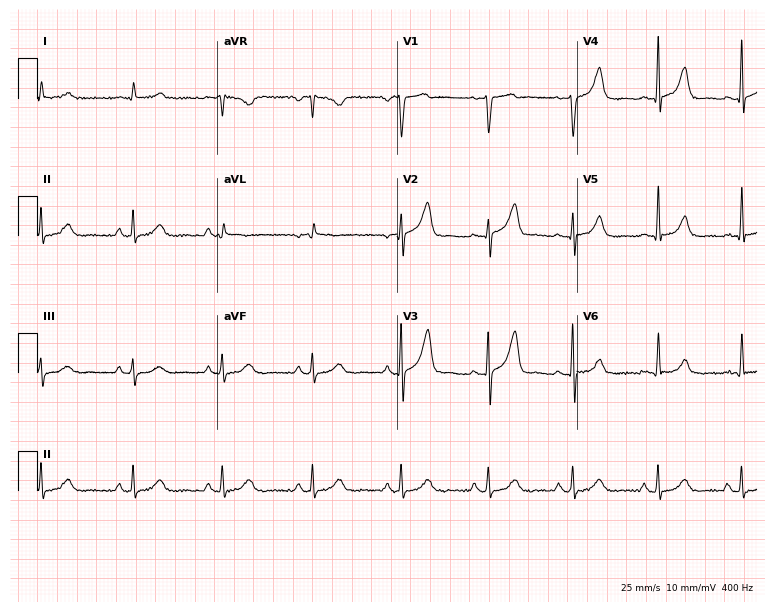
Electrocardiogram (7.3-second recording at 400 Hz), a 56-year-old male. Overall reading on record: normal ECG.